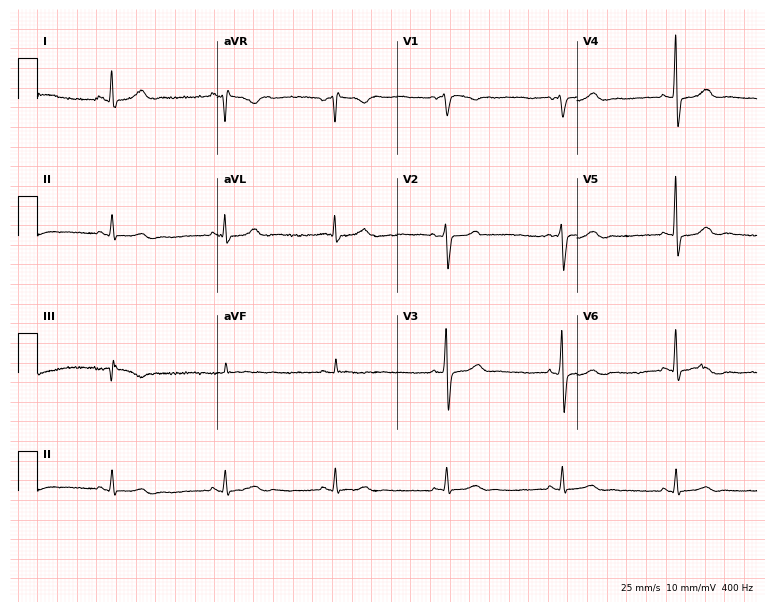
Standard 12-lead ECG recorded from a female patient, 51 years old. None of these six findings is recorded: first-degree AV block, right bundle branch block, left bundle branch block, sinus bradycardia, atrial fibrillation, sinus tachycardia. Only these six findings were labelled.